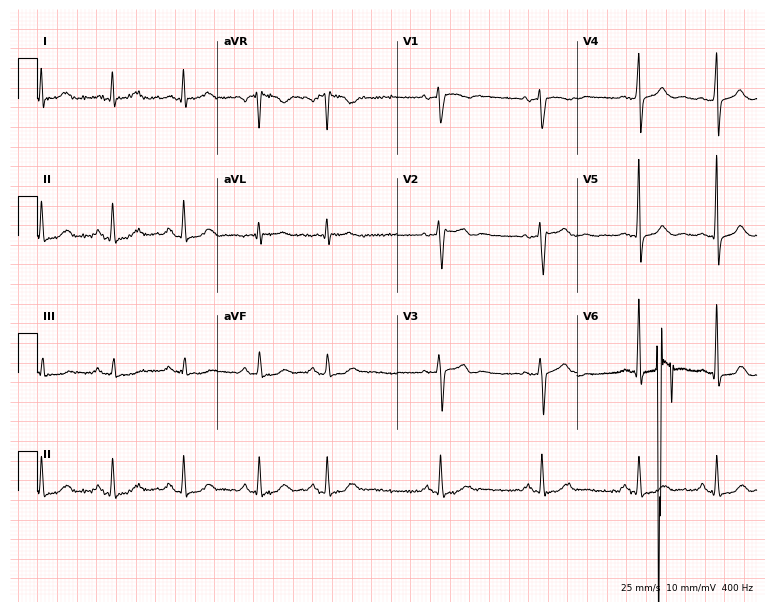
12-lead ECG from a woman, 40 years old. Screened for six findings — first-degree AV block, right bundle branch block (RBBB), left bundle branch block (LBBB), sinus bradycardia, atrial fibrillation (AF), sinus tachycardia — none is recorded.